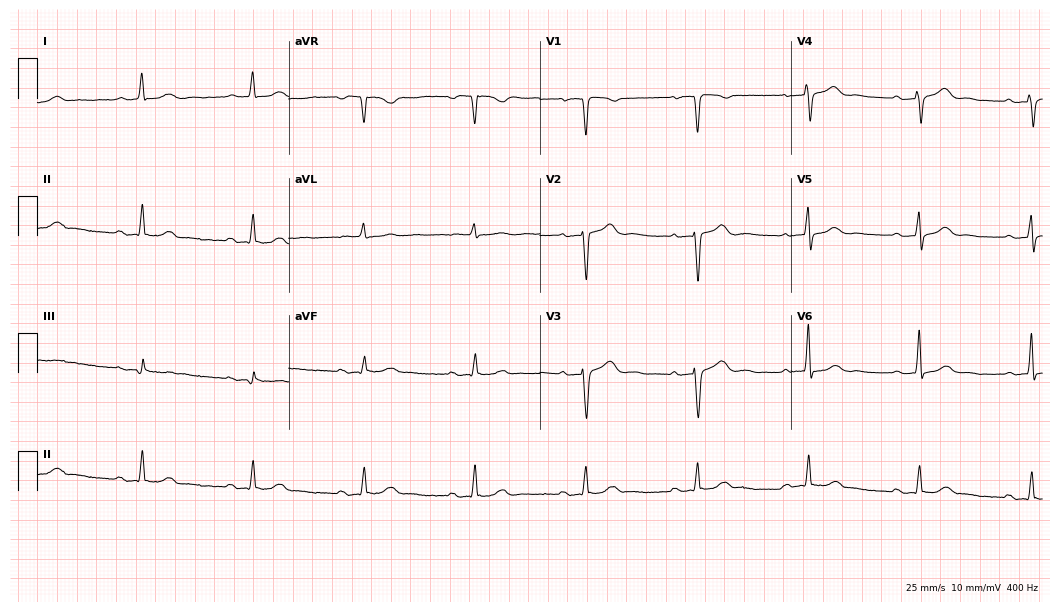
ECG — a man, 72 years old. Findings include first-degree AV block.